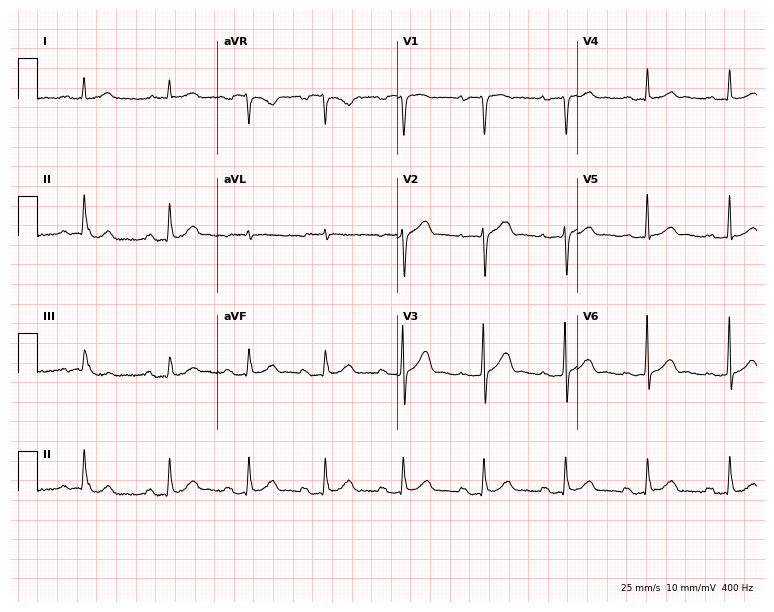
Electrocardiogram (7.3-second recording at 400 Hz), a male patient, 80 years old. Interpretation includes first-degree AV block.